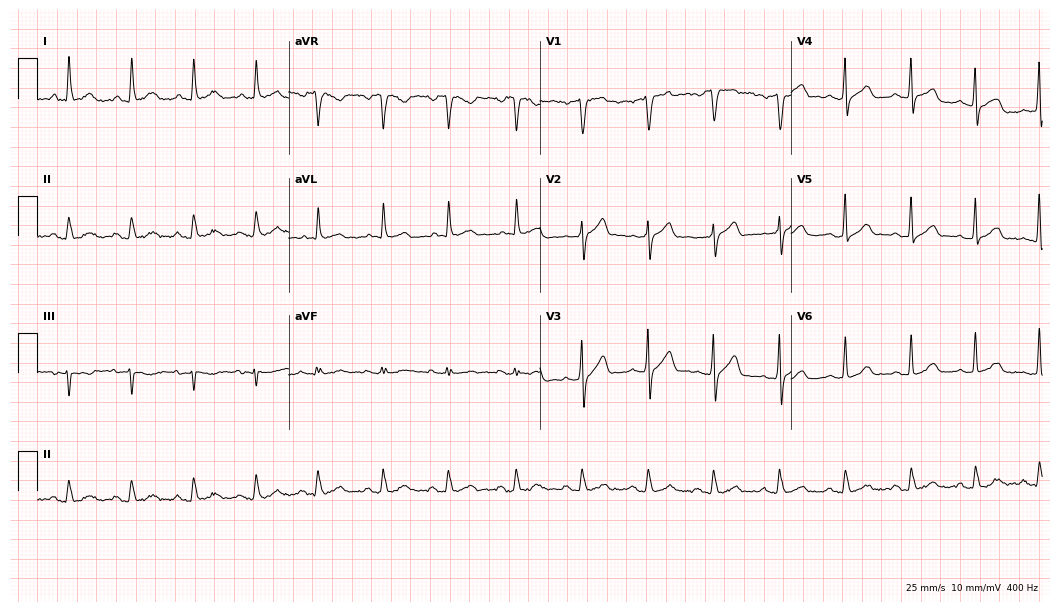
Standard 12-lead ECG recorded from a male patient, 50 years old. Read as a normal ECG.